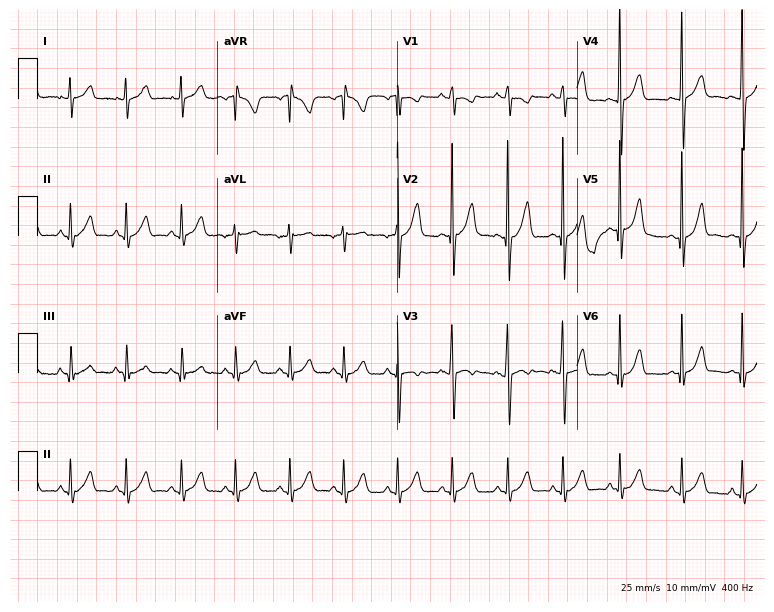
Electrocardiogram, a 43-year-old male. Of the six screened findings (first-degree AV block, right bundle branch block, left bundle branch block, sinus bradycardia, atrial fibrillation, sinus tachycardia), none is recorded.